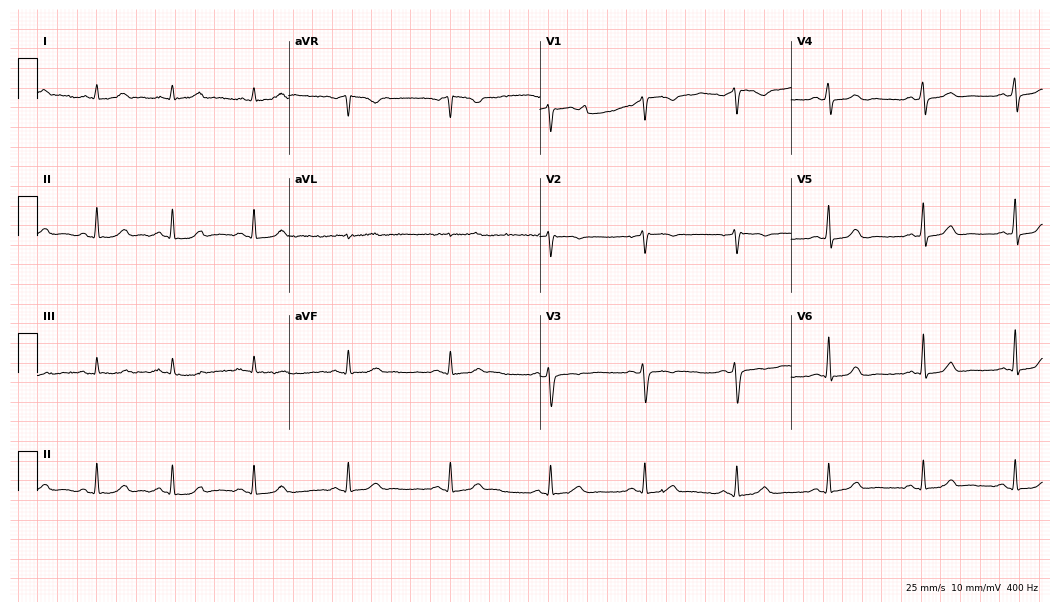
Standard 12-lead ECG recorded from a woman, 45 years old (10.2-second recording at 400 Hz). None of these six findings is recorded: first-degree AV block, right bundle branch block, left bundle branch block, sinus bradycardia, atrial fibrillation, sinus tachycardia. Findings outside these six are not listed.